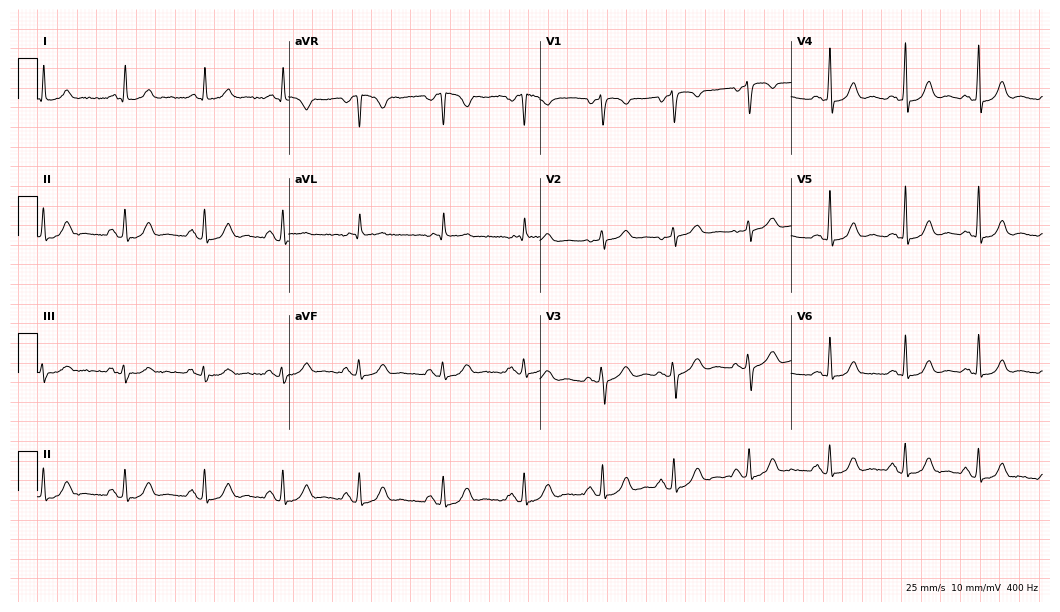
ECG — a female, 77 years old. Labelled as a normal ECG.